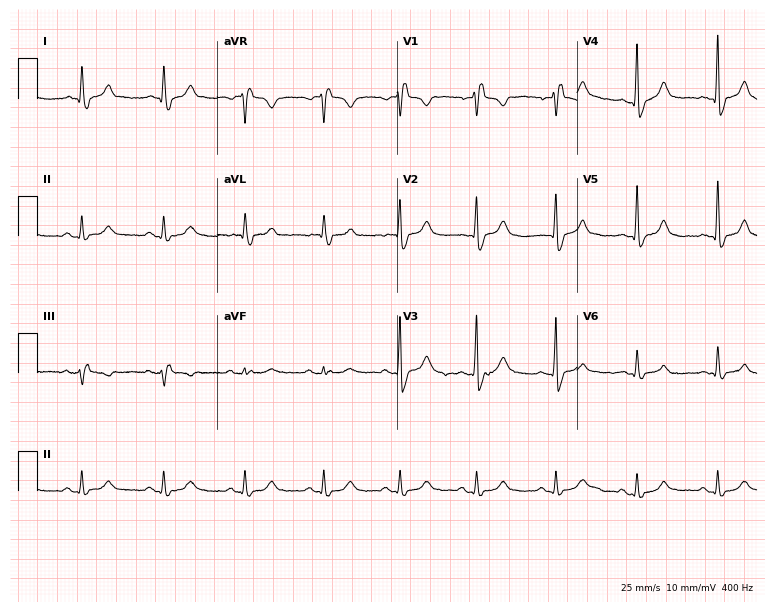
Resting 12-lead electrocardiogram. Patient: a man, 70 years old. The tracing shows right bundle branch block (RBBB).